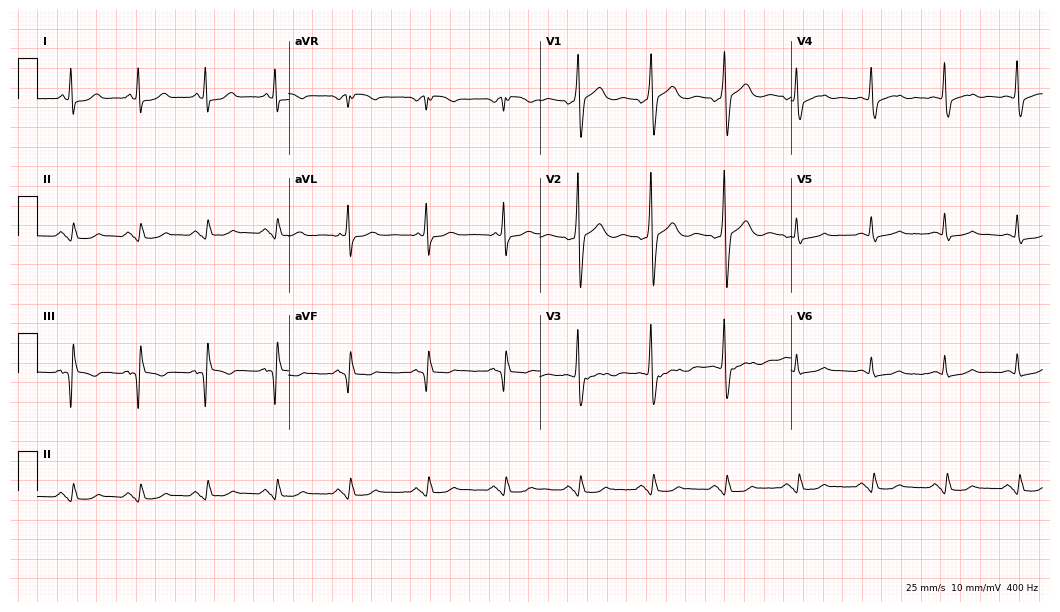
12-lead ECG from a male, 58 years old (10.2-second recording at 400 Hz). No first-degree AV block, right bundle branch block, left bundle branch block, sinus bradycardia, atrial fibrillation or sinus tachycardia recorded for this tracing. Findings outside these six are not listed.